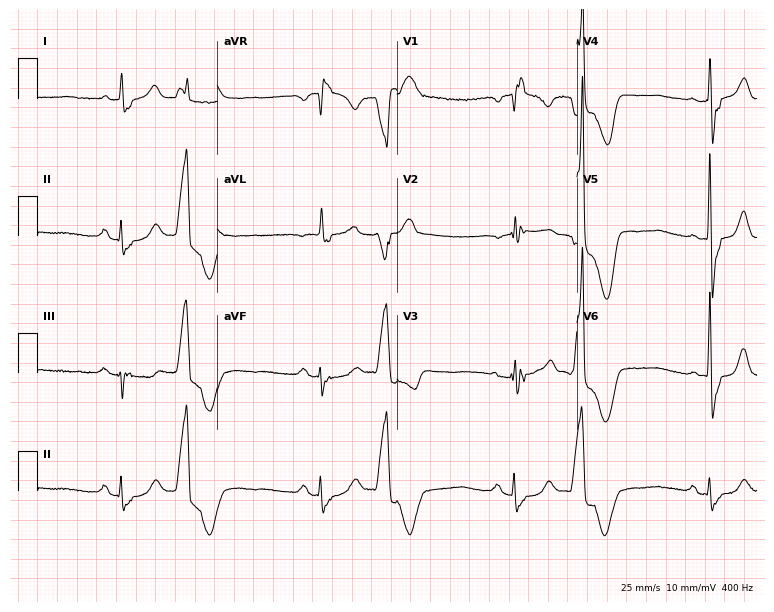
12-lead ECG (7.3-second recording at 400 Hz) from a 76-year-old male patient. Findings include right bundle branch block (RBBB).